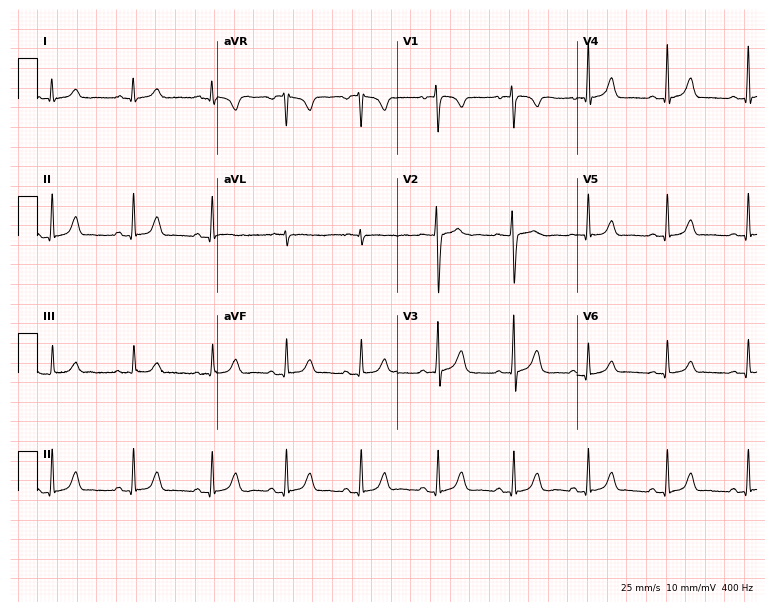
12-lead ECG from a female patient, 21 years old (7.3-second recording at 400 Hz). No first-degree AV block, right bundle branch block, left bundle branch block, sinus bradycardia, atrial fibrillation or sinus tachycardia recorded for this tracing. Other findings, if any, are not listed.